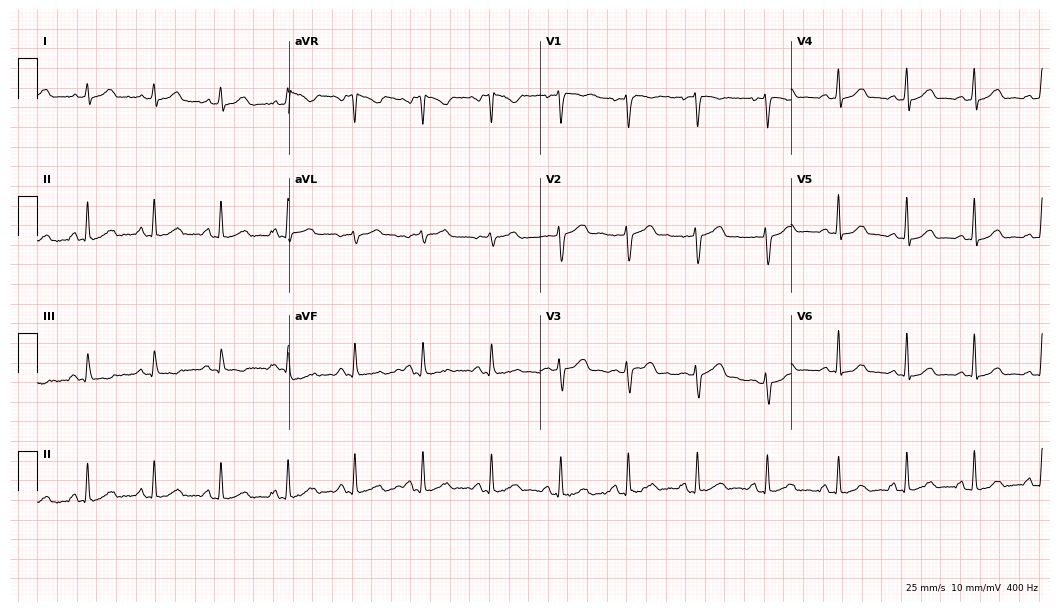
12-lead ECG from a female, 37 years old. Recorded interpretation: within normal limits.